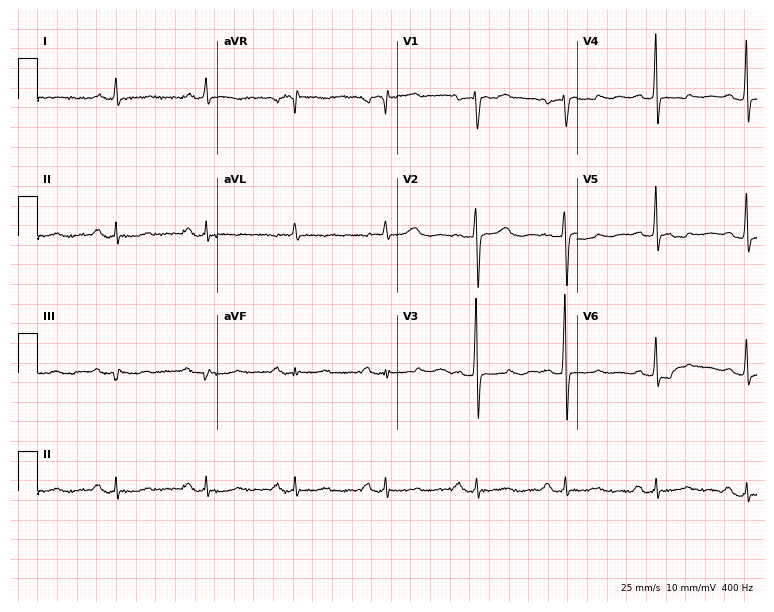
12-lead ECG from an 84-year-old female patient. No first-degree AV block, right bundle branch block, left bundle branch block, sinus bradycardia, atrial fibrillation or sinus tachycardia recorded for this tracing. Other findings, if any, are not listed.